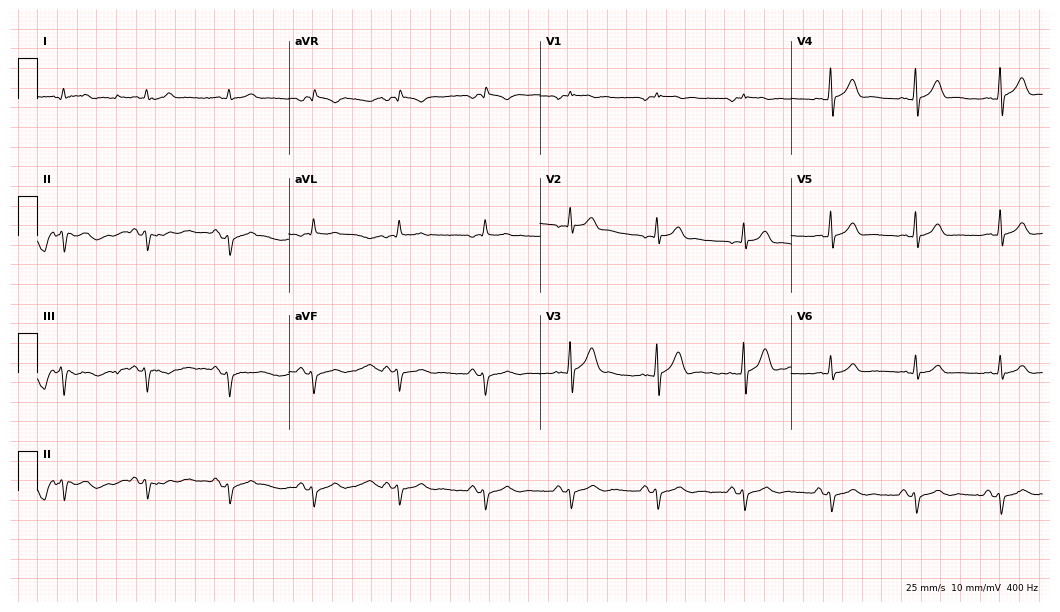
Electrocardiogram (10.2-second recording at 400 Hz), a male patient, 35 years old. Overall reading on record: normal ECG.